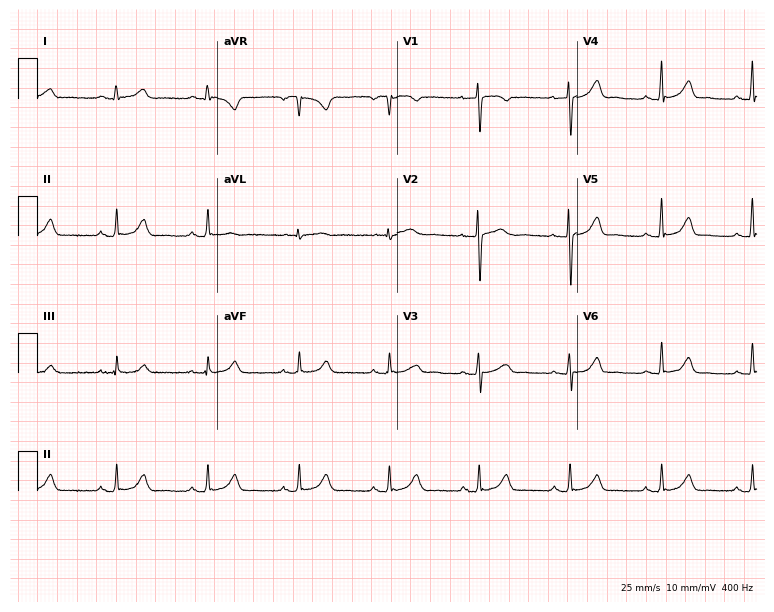
12-lead ECG from a woman, 50 years old. Labelled as a normal ECG.